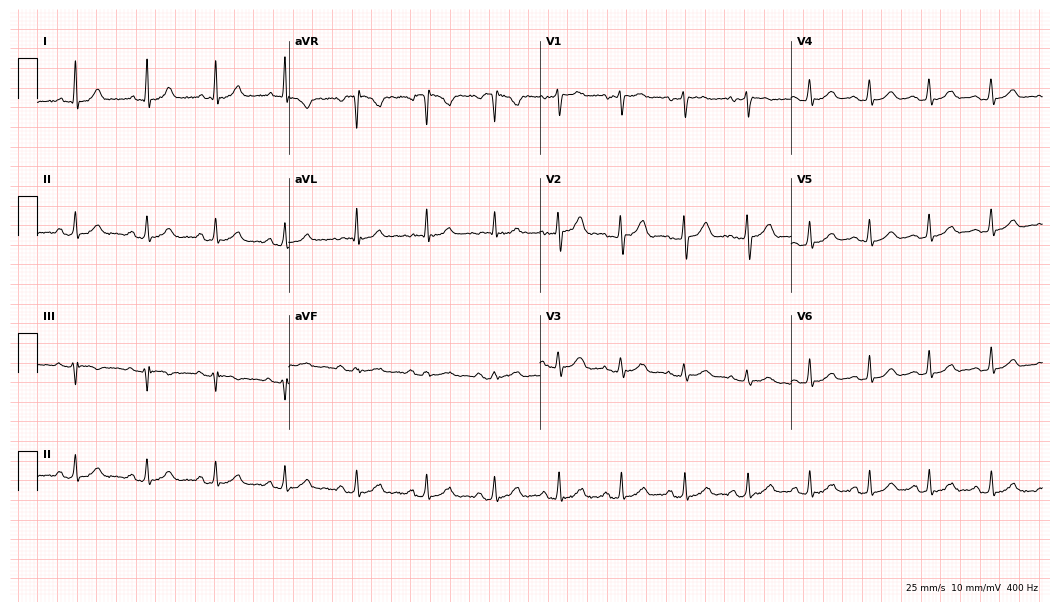
Standard 12-lead ECG recorded from a female, 35 years old (10.2-second recording at 400 Hz). Read as a normal ECG.